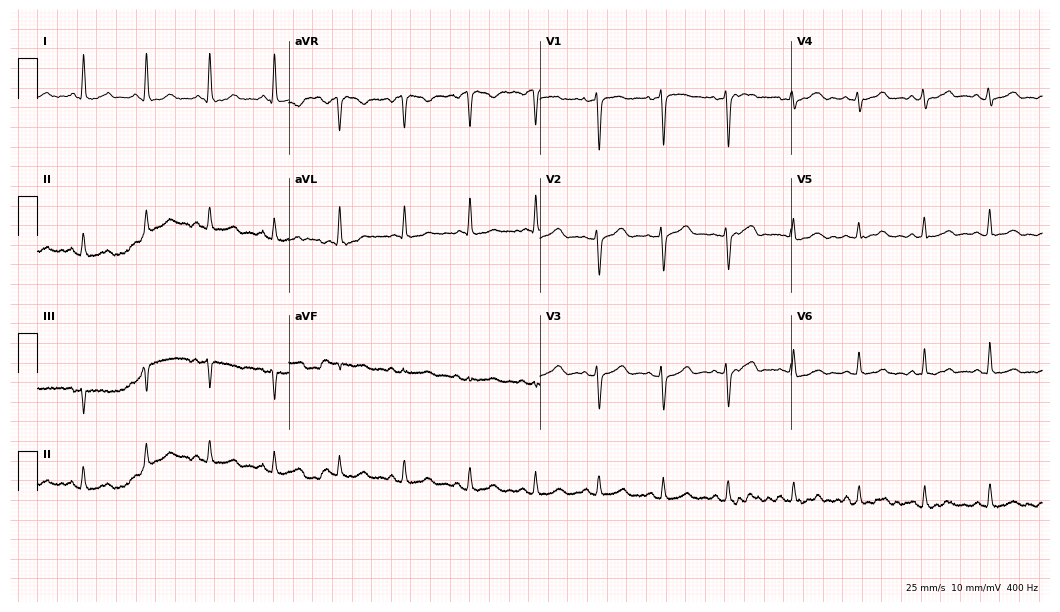
Standard 12-lead ECG recorded from a female patient, 38 years old. Read as a normal ECG.